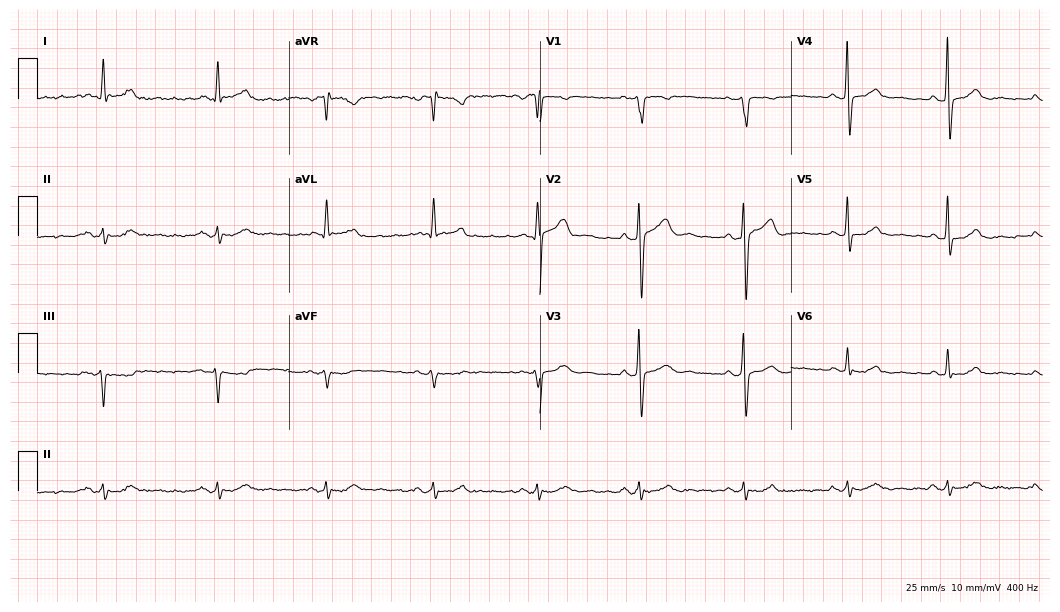
ECG (10.2-second recording at 400 Hz) — a male, 73 years old. Screened for six findings — first-degree AV block, right bundle branch block, left bundle branch block, sinus bradycardia, atrial fibrillation, sinus tachycardia — none is recorded. Only these six findings were labelled.